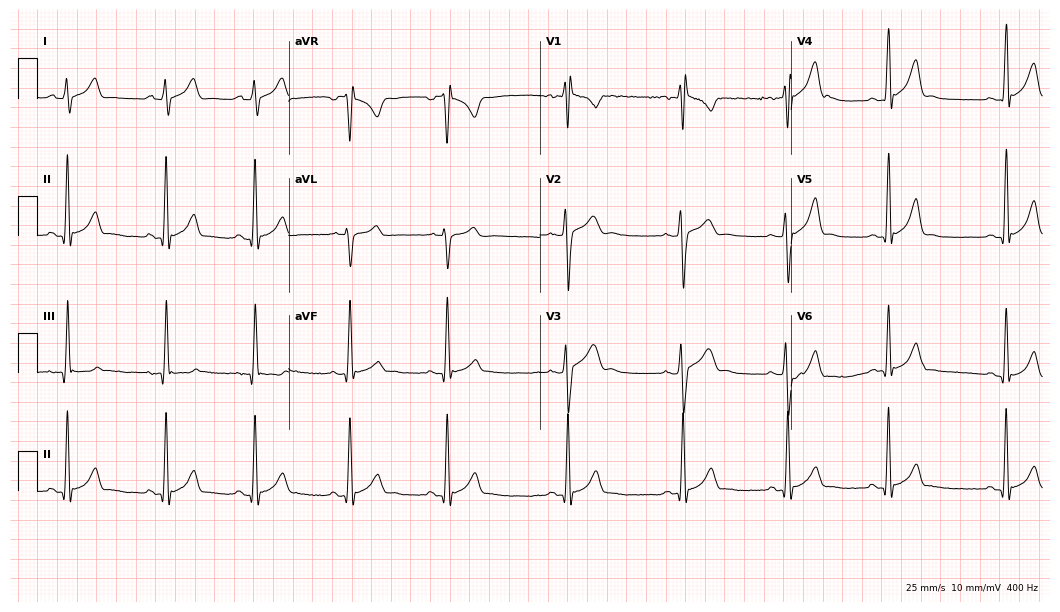
Electrocardiogram (10.2-second recording at 400 Hz), a female, 18 years old. Of the six screened findings (first-degree AV block, right bundle branch block, left bundle branch block, sinus bradycardia, atrial fibrillation, sinus tachycardia), none is recorded. Findings outside these six are not listed.